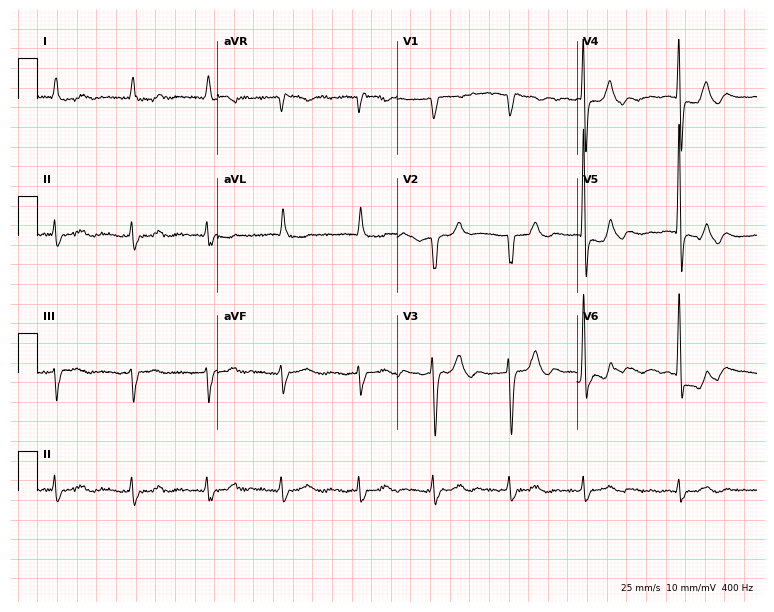
ECG (7.3-second recording at 400 Hz) — a 78-year-old male. Findings include atrial fibrillation.